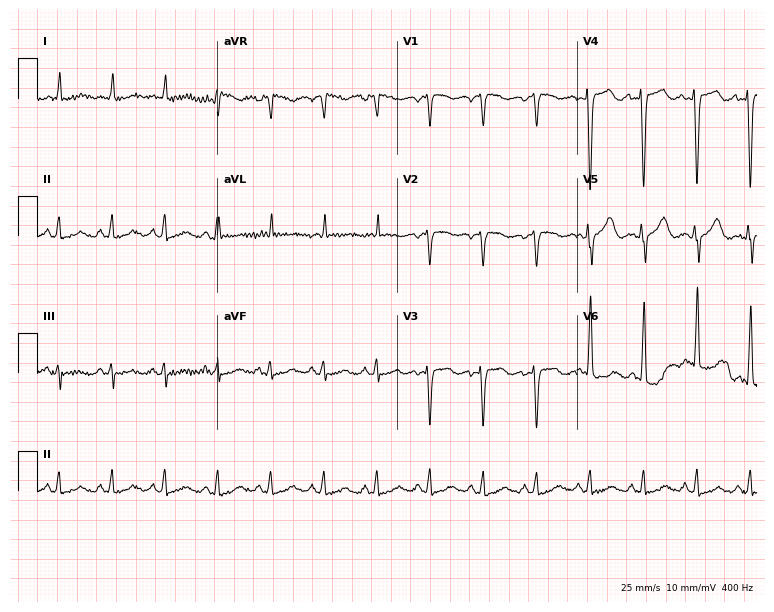
ECG (7.3-second recording at 400 Hz) — an 82-year-old woman. Findings include sinus tachycardia (a sinus rate of 100 beats per minute or more).